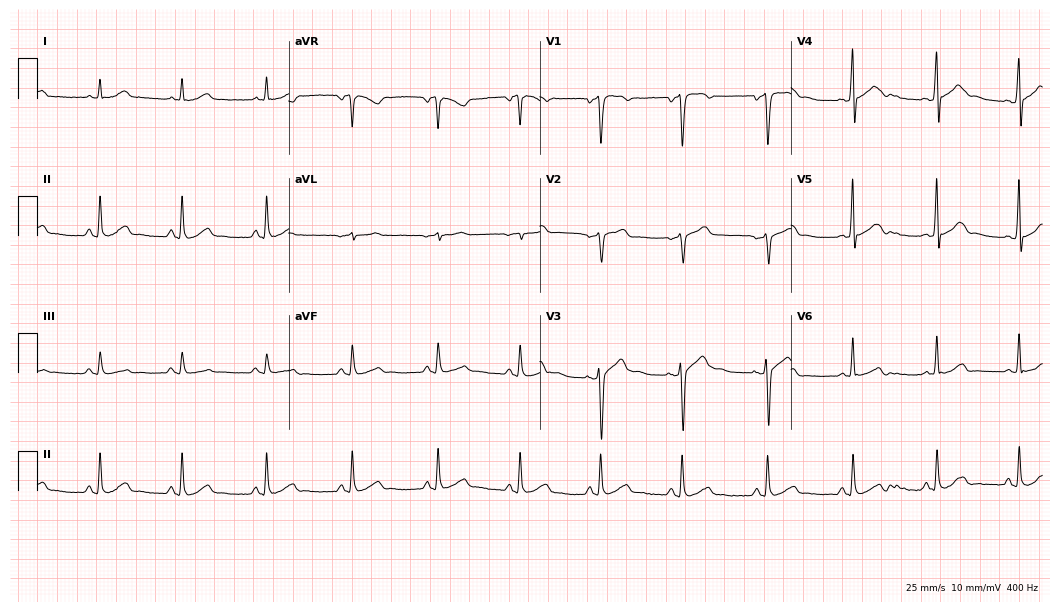
ECG (10.2-second recording at 400 Hz) — a 57-year-old male patient. Labelled as a normal ECG.